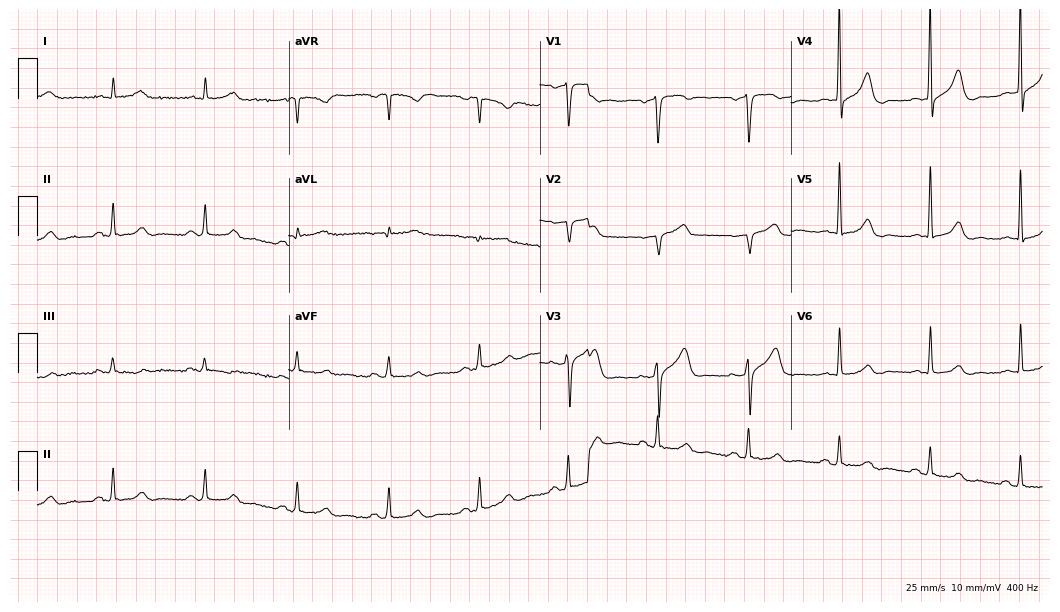
12-lead ECG (10.2-second recording at 400 Hz) from a 70-year-old male. Labelled as a normal ECG.